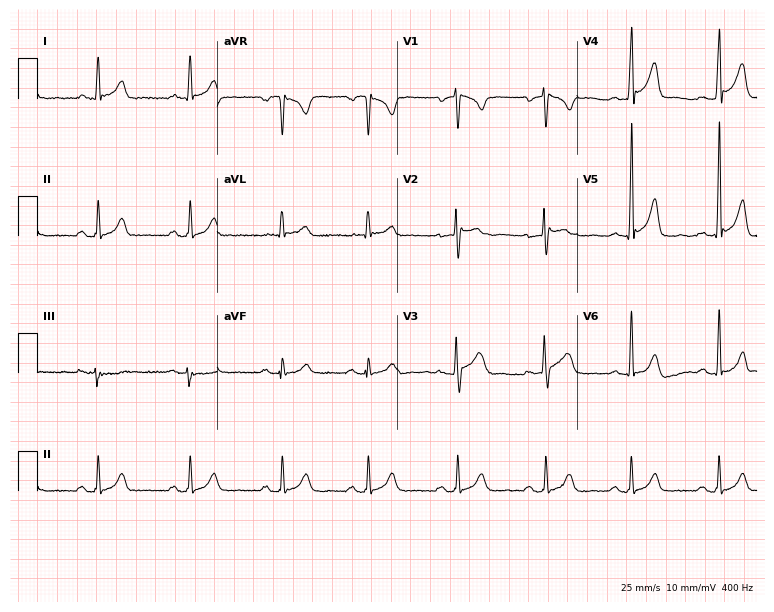
ECG (7.3-second recording at 400 Hz) — a 45-year-old male. Screened for six findings — first-degree AV block, right bundle branch block (RBBB), left bundle branch block (LBBB), sinus bradycardia, atrial fibrillation (AF), sinus tachycardia — none is recorded. Findings outside these six are not listed.